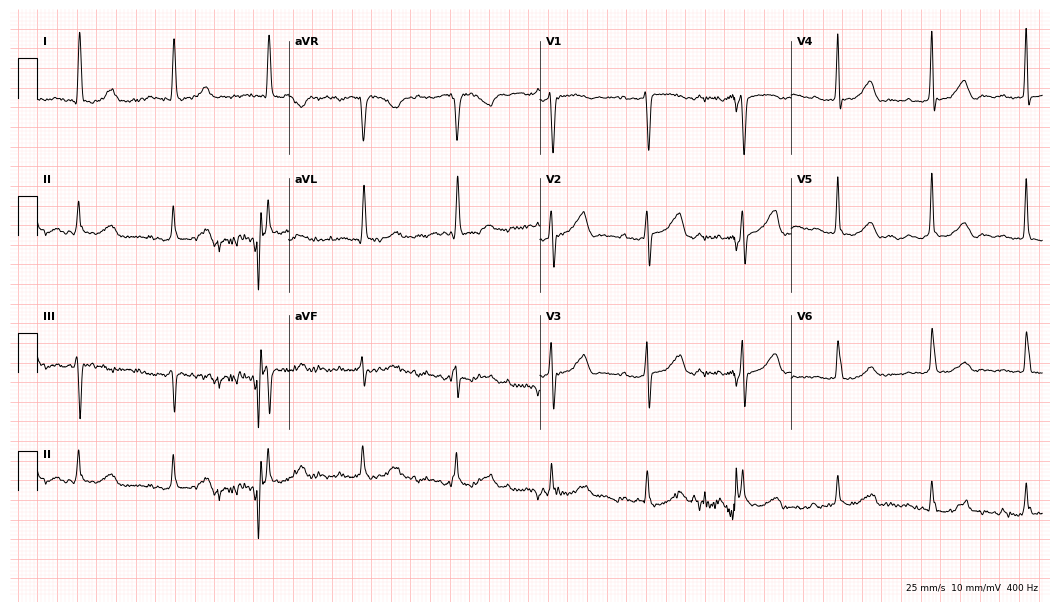
12-lead ECG (10.2-second recording at 400 Hz) from an 88-year-old female patient. Screened for six findings — first-degree AV block, right bundle branch block (RBBB), left bundle branch block (LBBB), sinus bradycardia, atrial fibrillation (AF), sinus tachycardia — none is recorded. Other findings, if any, are not listed.